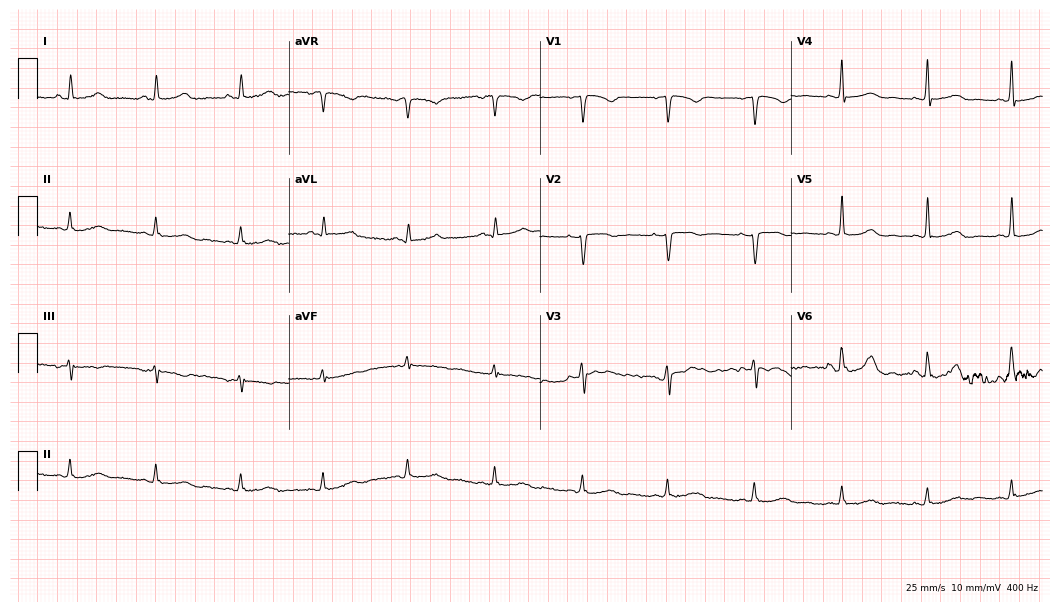
Standard 12-lead ECG recorded from a 51-year-old woman. Read as a normal ECG.